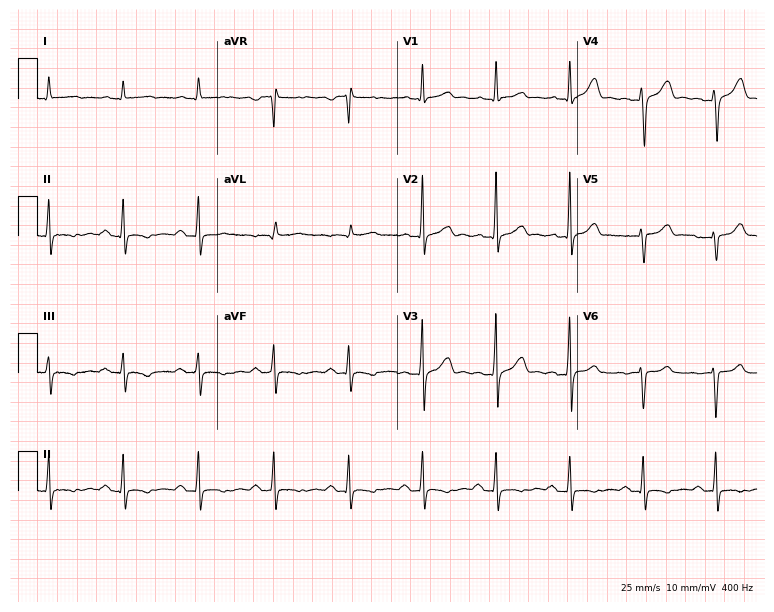
Resting 12-lead electrocardiogram. Patient: a male, 49 years old. None of these six findings is recorded: first-degree AV block, right bundle branch block, left bundle branch block, sinus bradycardia, atrial fibrillation, sinus tachycardia.